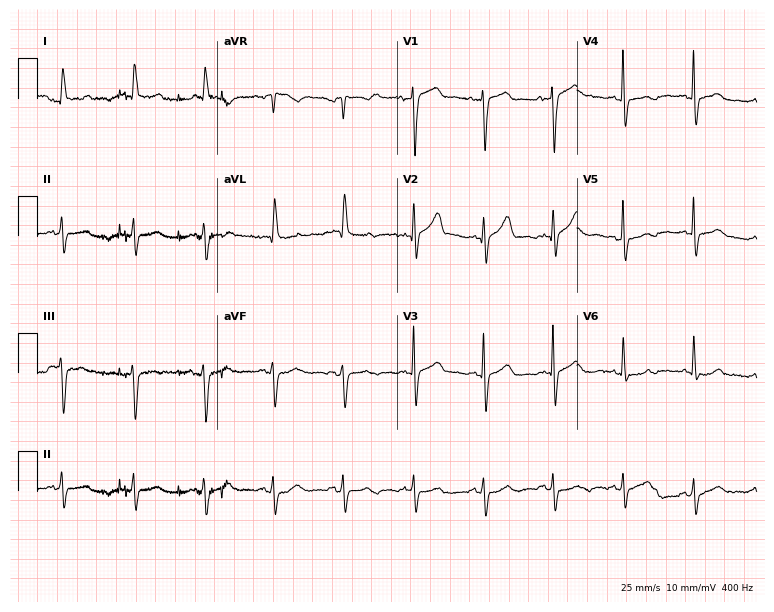
12-lead ECG from a 66-year-old woman. No first-degree AV block, right bundle branch block (RBBB), left bundle branch block (LBBB), sinus bradycardia, atrial fibrillation (AF) or sinus tachycardia recorded for this tracing. Only these six findings were labelled.